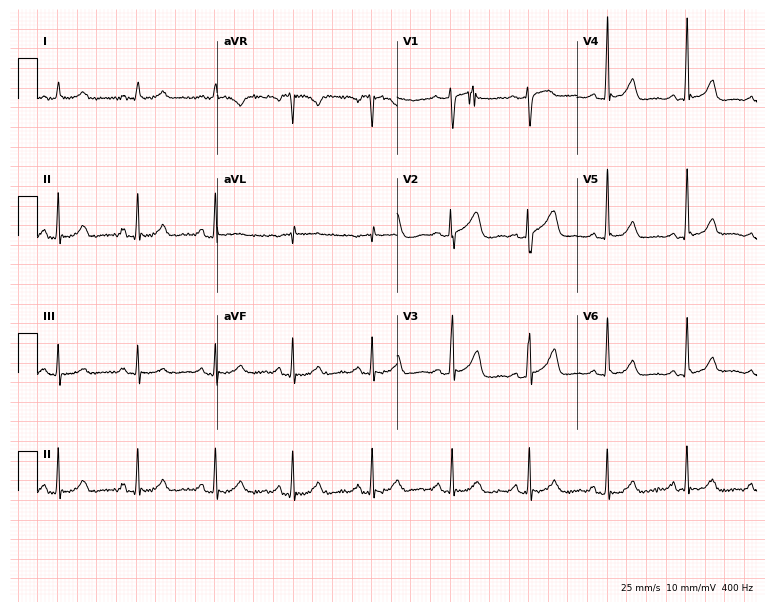
Standard 12-lead ECG recorded from a 65-year-old female (7.3-second recording at 400 Hz). Read as a normal ECG.